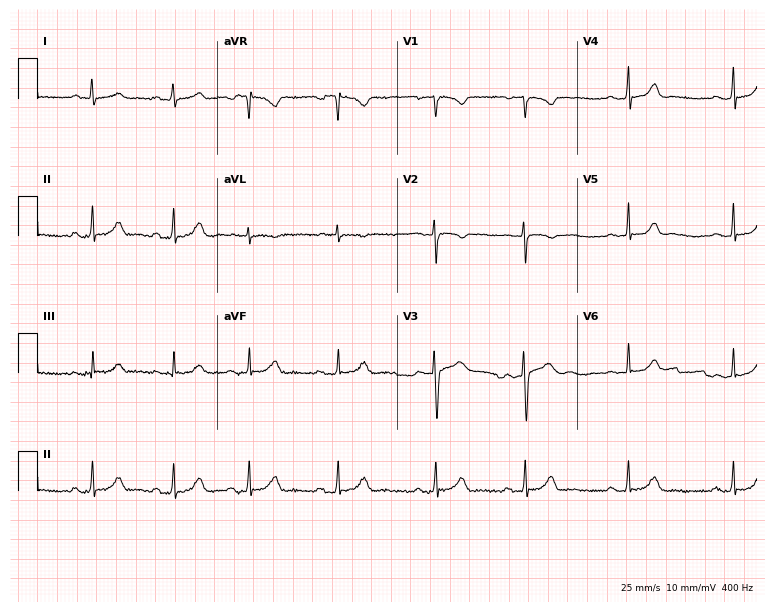
ECG (7.3-second recording at 400 Hz) — a woman, 18 years old. Screened for six findings — first-degree AV block, right bundle branch block, left bundle branch block, sinus bradycardia, atrial fibrillation, sinus tachycardia — none is recorded. Findings outside these six are not listed.